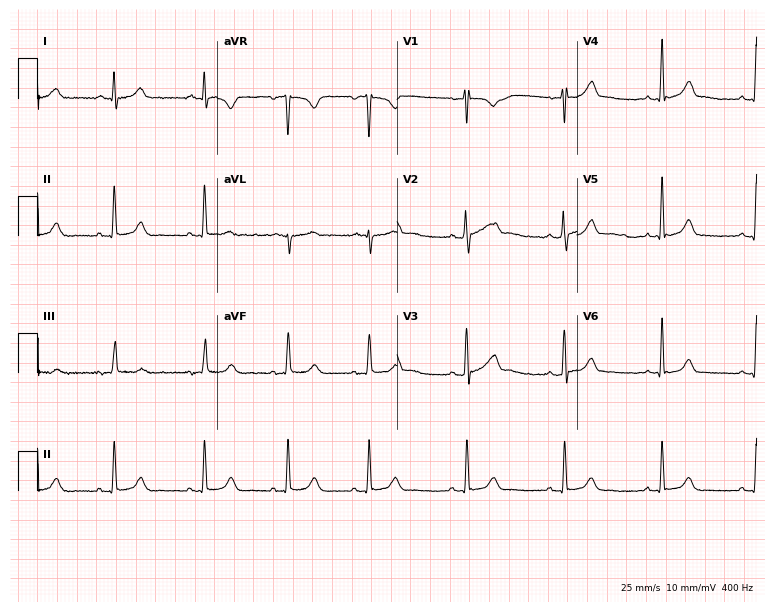
Standard 12-lead ECG recorded from a 21-year-old female. Read as a normal ECG.